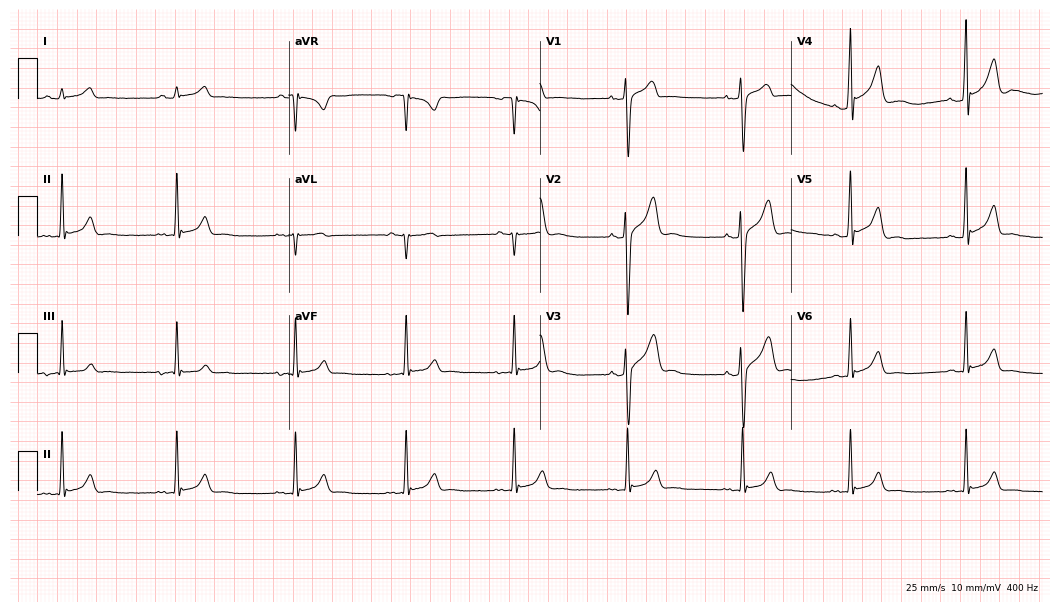
12-lead ECG from a 27-year-old male. Recorded interpretation: within normal limits.